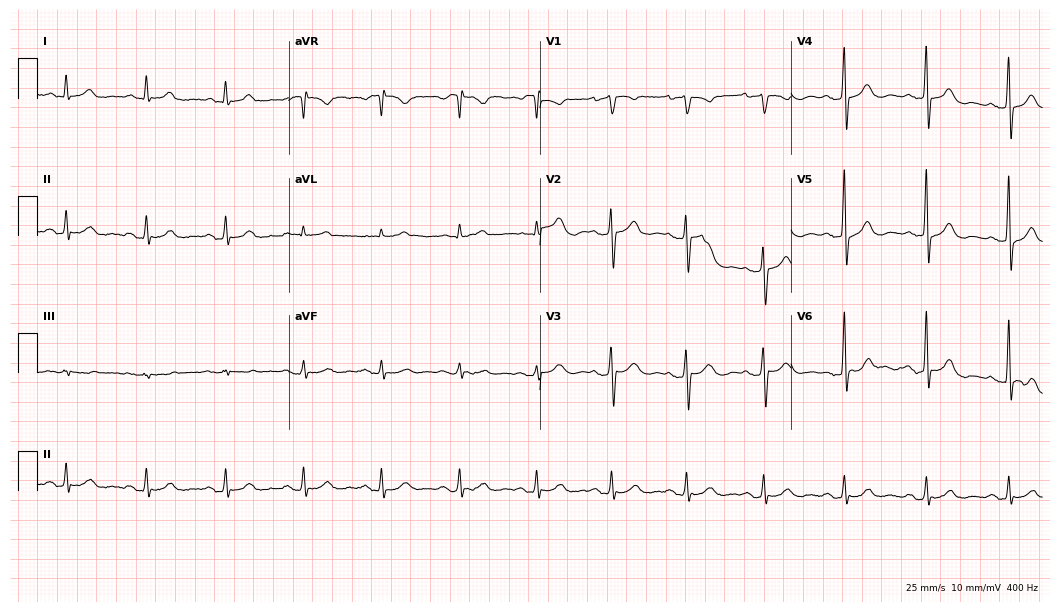
12-lead ECG (10.2-second recording at 400 Hz) from a male patient, 55 years old. Labelled as a normal ECG.